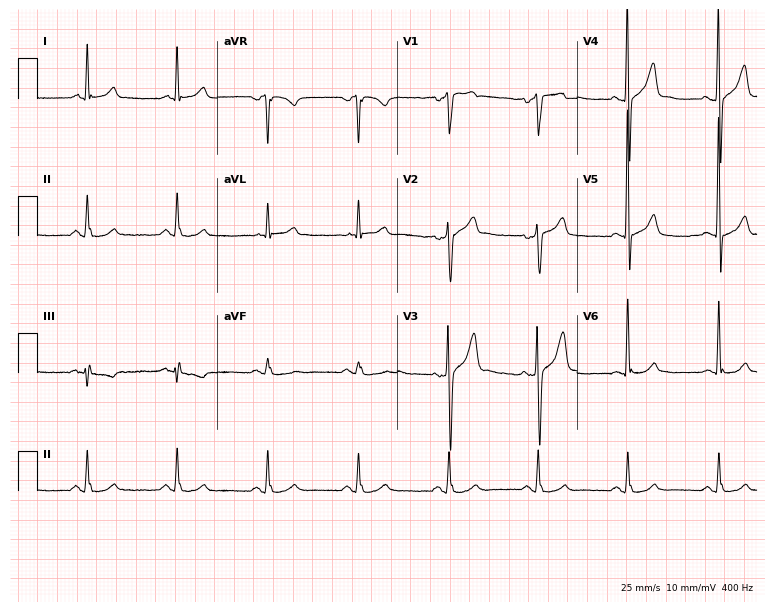
12-lead ECG (7.3-second recording at 400 Hz) from a 64-year-old male. Labelled as a normal ECG.